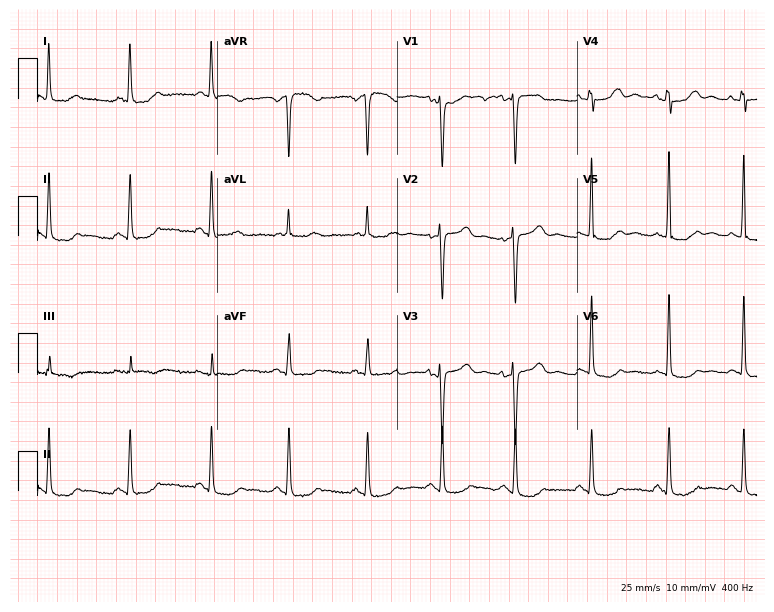
Electrocardiogram, a female patient, 46 years old. Of the six screened findings (first-degree AV block, right bundle branch block, left bundle branch block, sinus bradycardia, atrial fibrillation, sinus tachycardia), none is recorded.